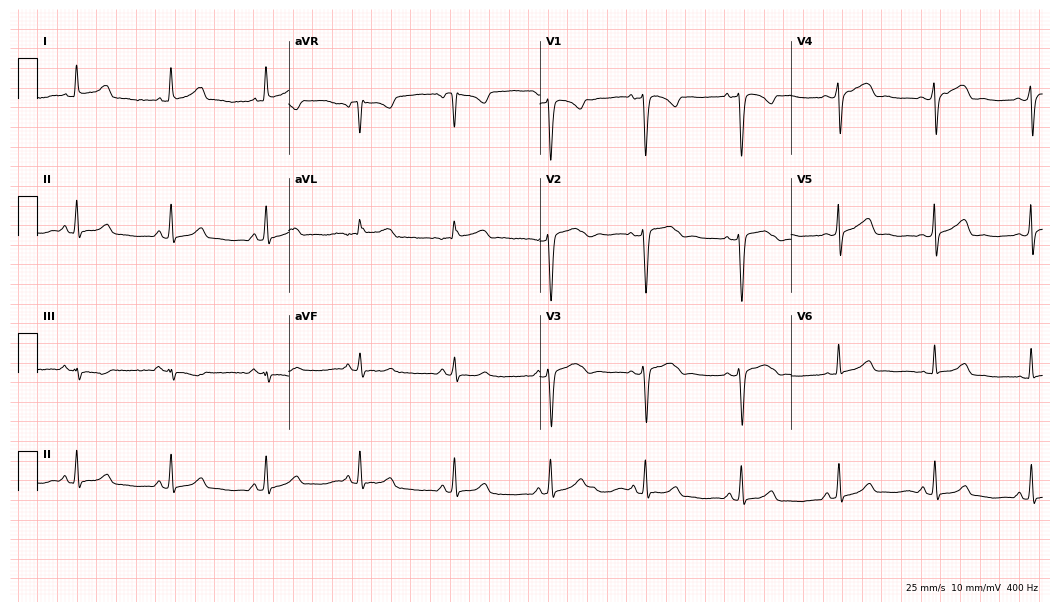
Standard 12-lead ECG recorded from a 25-year-old female patient. Read as a normal ECG.